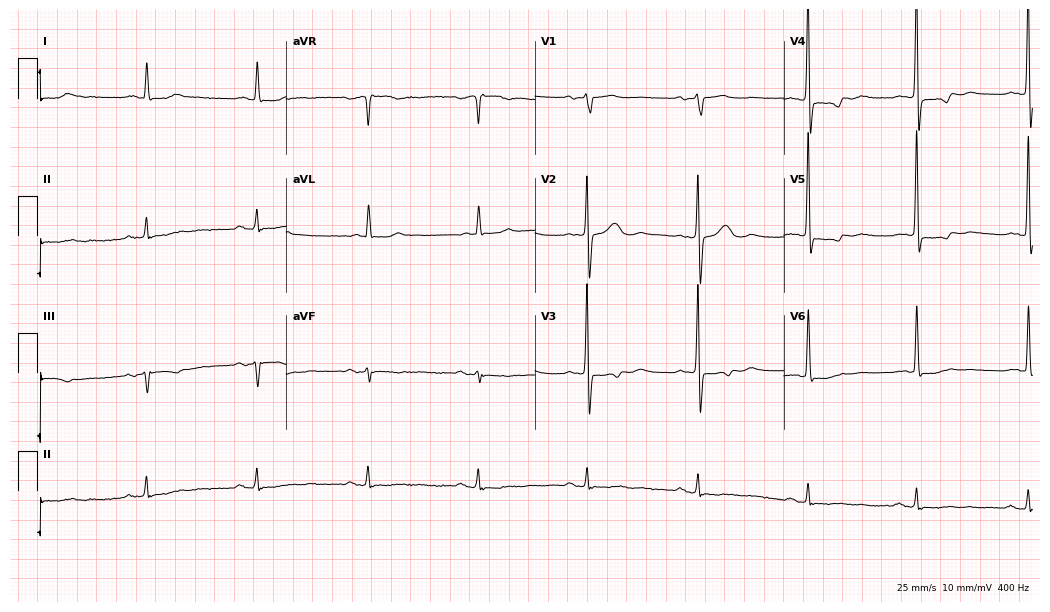
Resting 12-lead electrocardiogram. Patient: a female, 76 years old. None of these six findings is recorded: first-degree AV block, right bundle branch block, left bundle branch block, sinus bradycardia, atrial fibrillation, sinus tachycardia. Findings outside these six are not listed.